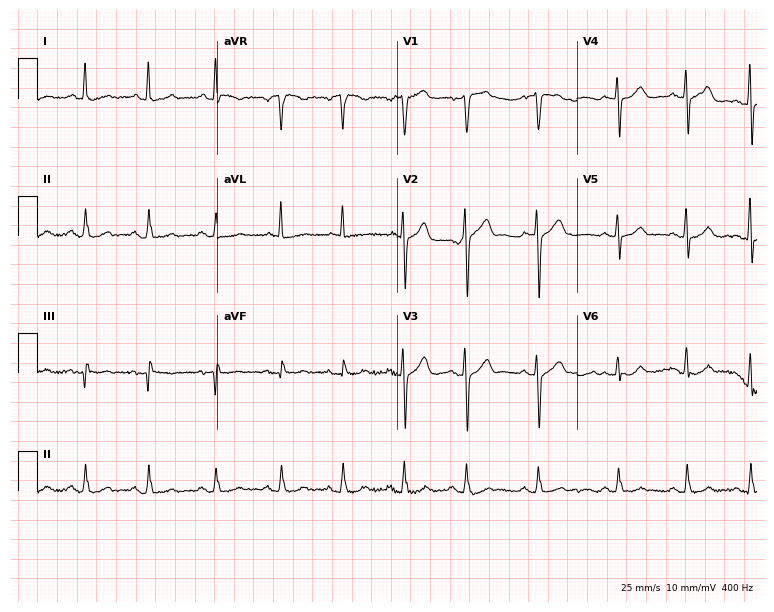
Standard 12-lead ECG recorded from a 78-year-old male patient. None of these six findings is recorded: first-degree AV block, right bundle branch block, left bundle branch block, sinus bradycardia, atrial fibrillation, sinus tachycardia.